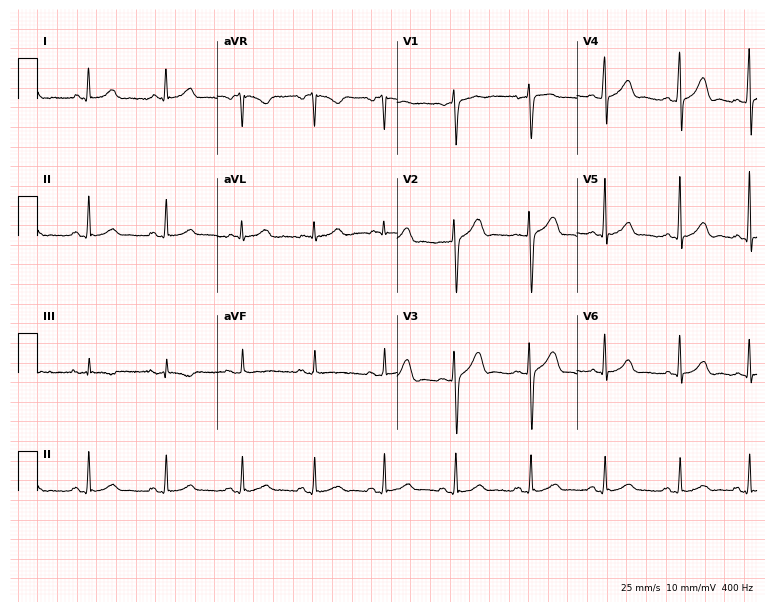
12-lead ECG from a 28-year-old woman (7.3-second recording at 400 Hz). Recorded interpretation: within normal limits.